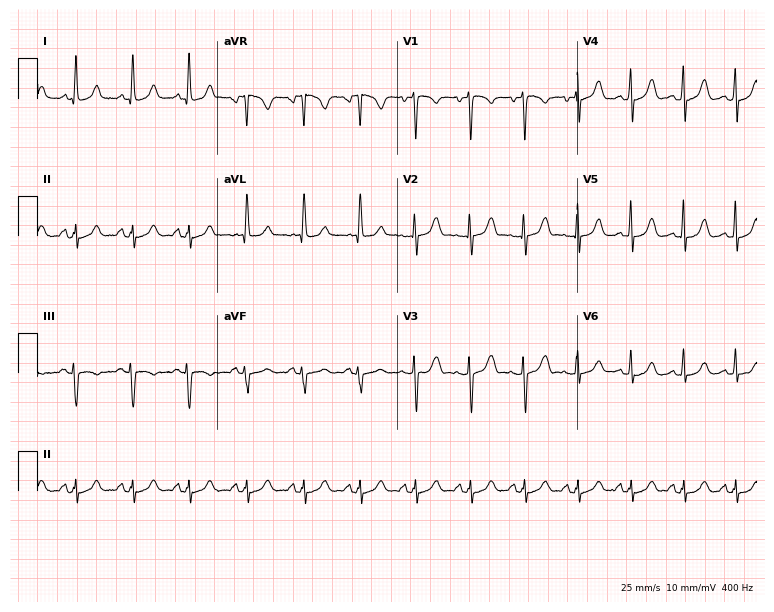
Resting 12-lead electrocardiogram. Patient: a 41-year-old female. None of these six findings is recorded: first-degree AV block, right bundle branch block (RBBB), left bundle branch block (LBBB), sinus bradycardia, atrial fibrillation (AF), sinus tachycardia.